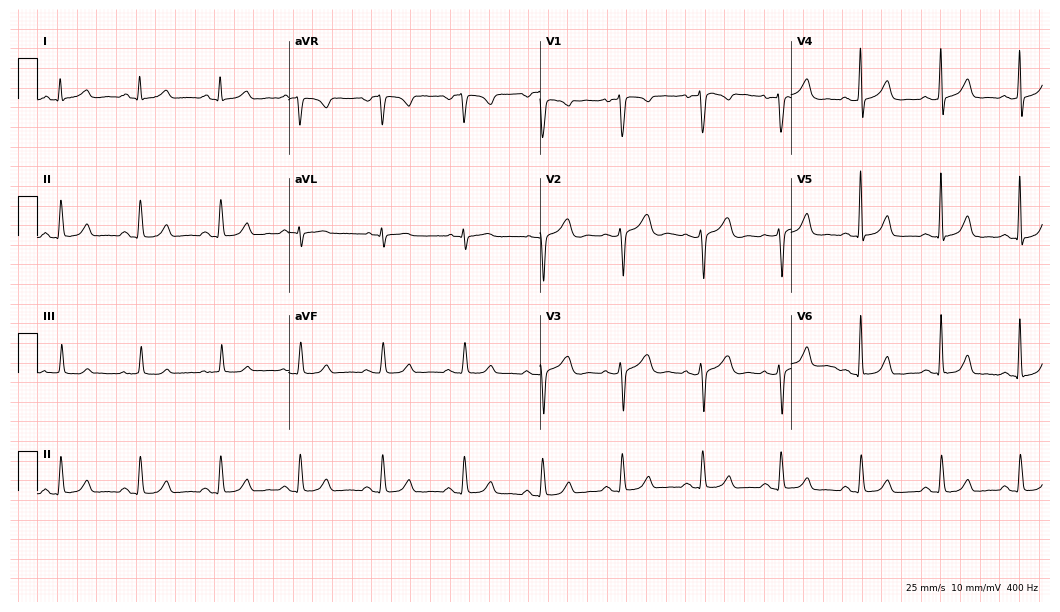
12-lead ECG from a female, 39 years old. Labelled as a normal ECG.